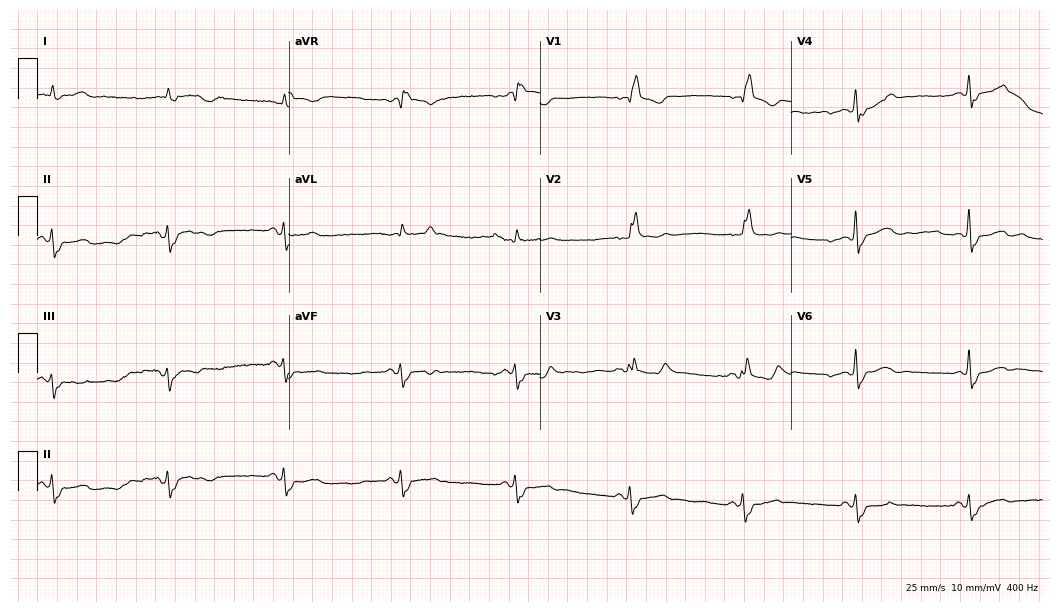
12-lead ECG from a man, 76 years old. Findings include right bundle branch block.